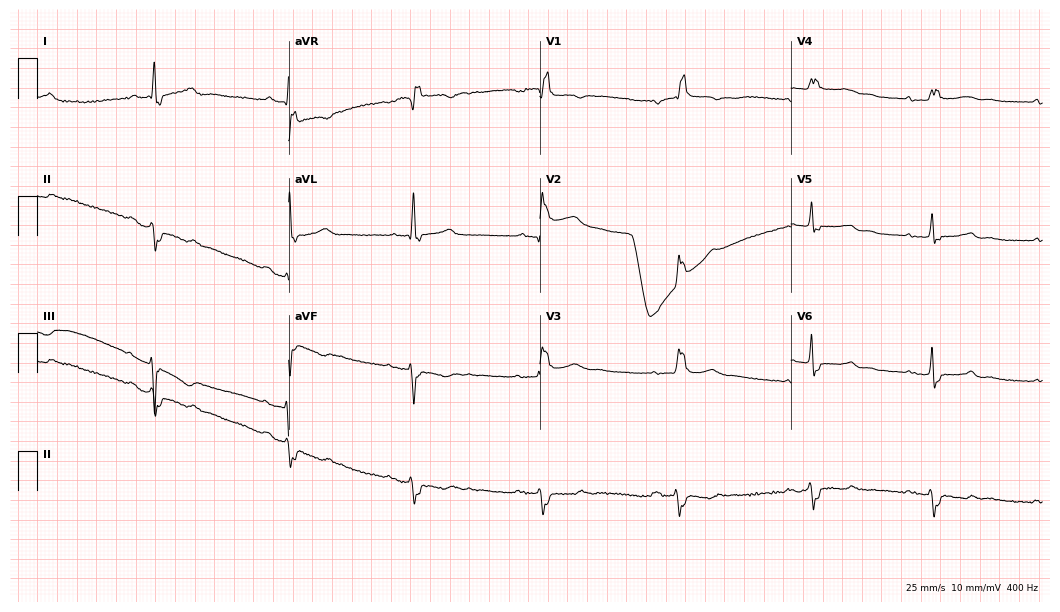
Resting 12-lead electrocardiogram (10.2-second recording at 400 Hz). Patient: a 63-year-old woman. The tracing shows first-degree AV block, right bundle branch block, sinus bradycardia (a sinus rate of 50 beats per minute or less).